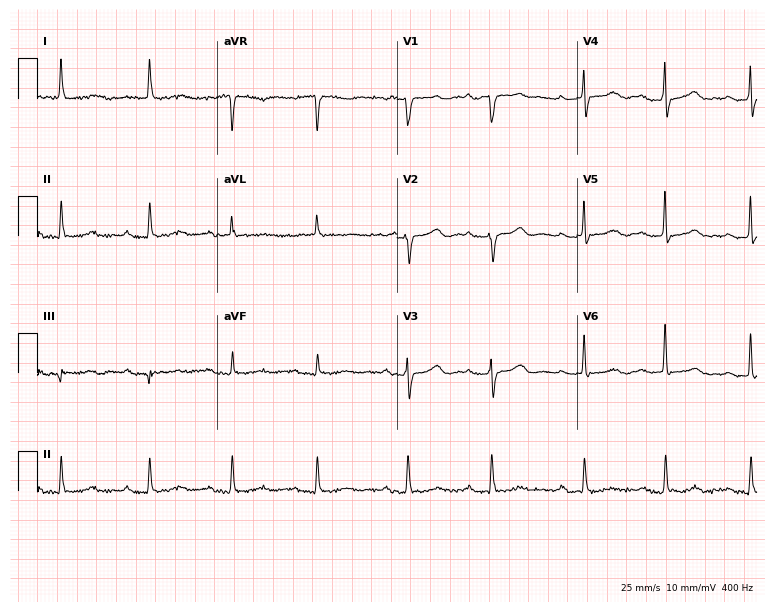
12-lead ECG from a female, 83 years old (7.3-second recording at 400 Hz). No first-degree AV block, right bundle branch block (RBBB), left bundle branch block (LBBB), sinus bradycardia, atrial fibrillation (AF) or sinus tachycardia recorded for this tracing. Only these six findings were labelled.